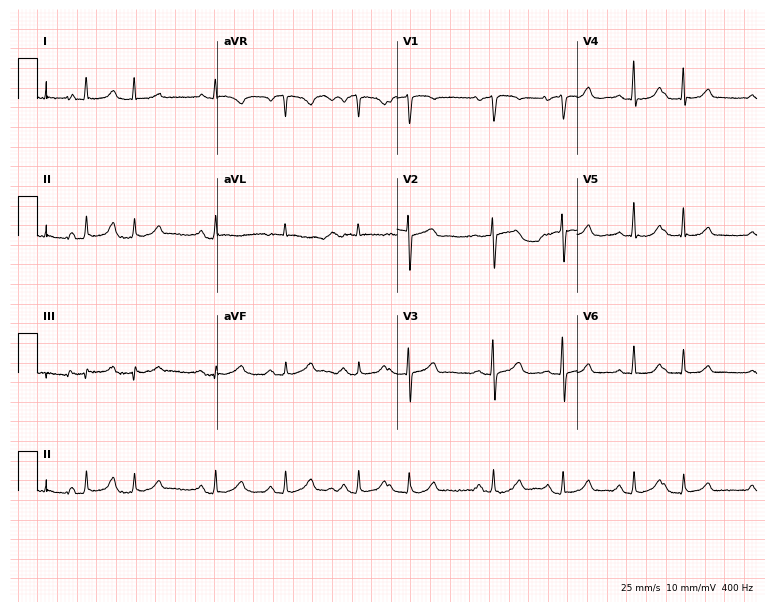
12-lead ECG from an 82-year-old female patient (7.3-second recording at 400 Hz). No first-degree AV block, right bundle branch block, left bundle branch block, sinus bradycardia, atrial fibrillation or sinus tachycardia recorded for this tracing.